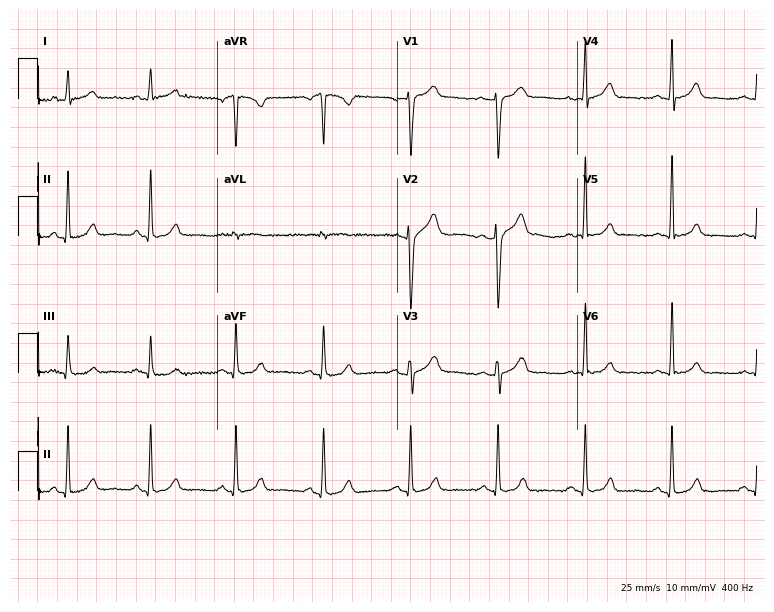
ECG (7.3-second recording at 400 Hz) — a male patient, 42 years old. Screened for six findings — first-degree AV block, right bundle branch block, left bundle branch block, sinus bradycardia, atrial fibrillation, sinus tachycardia — none is recorded. Findings outside these six are not listed.